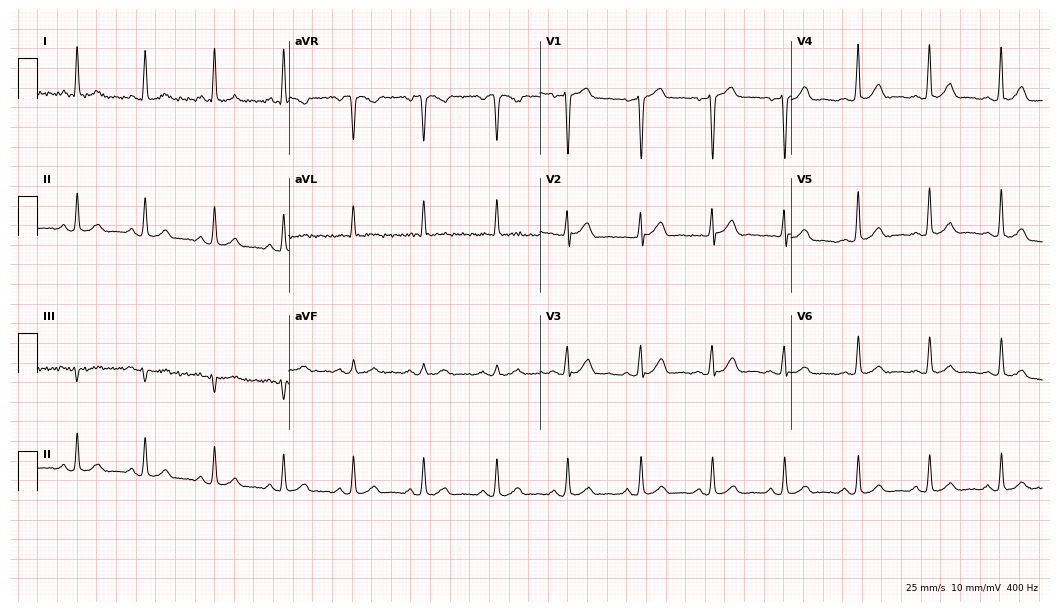
12-lead ECG (10.2-second recording at 400 Hz) from a 51-year-old male patient. Screened for six findings — first-degree AV block, right bundle branch block, left bundle branch block, sinus bradycardia, atrial fibrillation, sinus tachycardia — none is recorded.